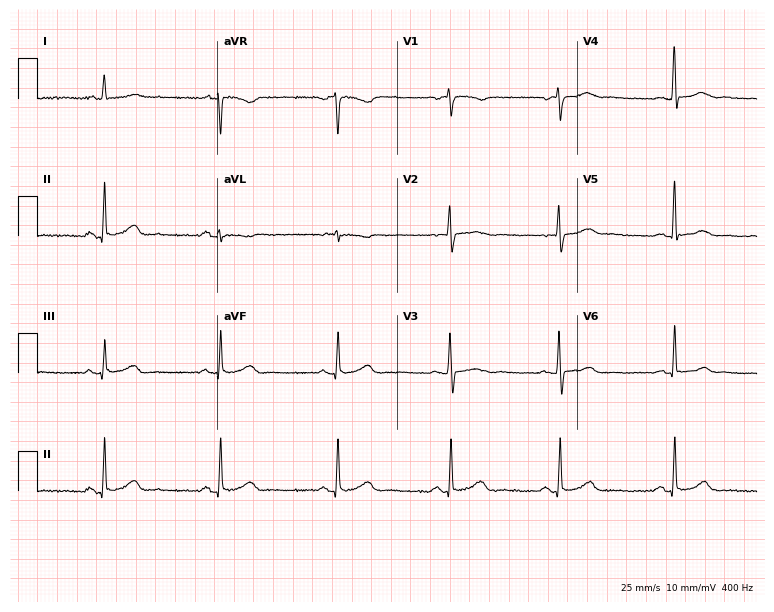
12-lead ECG from a female, 58 years old. Recorded interpretation: within normal limits.